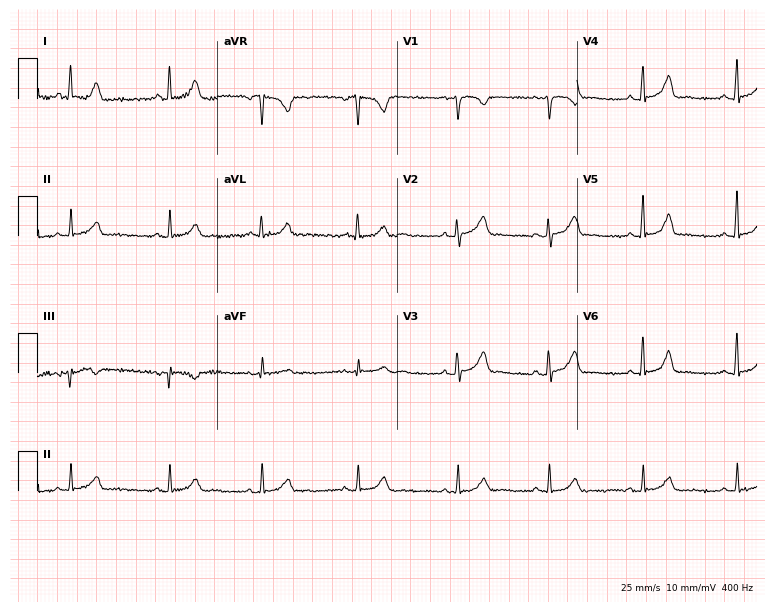
Resting 12-lead electrocardiogram (7.3-second recording at 400 Hz). Patient: a 39-year-old female. Read as a normal ECG.